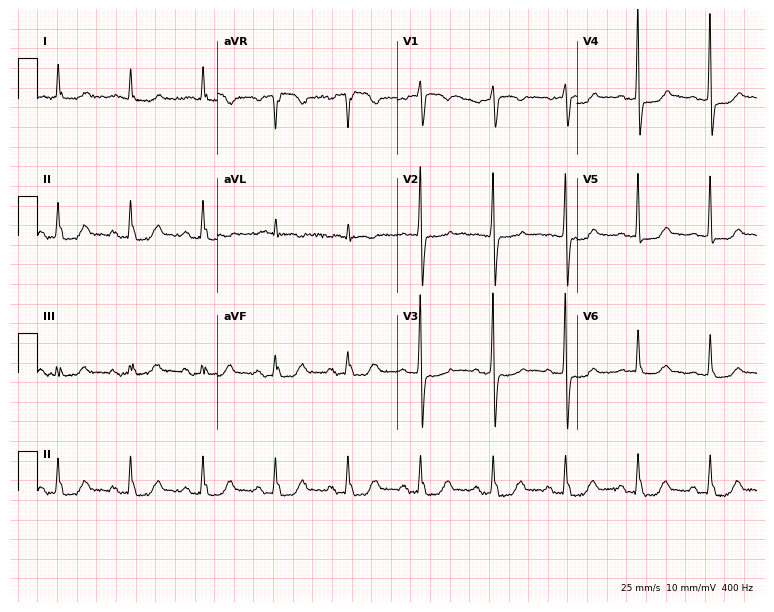
Electrocardiogram (7.3-second recording at 400 Hz), a woman, 86 years old. Of the six screened findings (first-degree AV block, right bundle branch block (RBBB), left bundle branch block (LBBB), sinus bradycardia, atrial fibrillation (AF), sinus tachycardia), none is recorded.